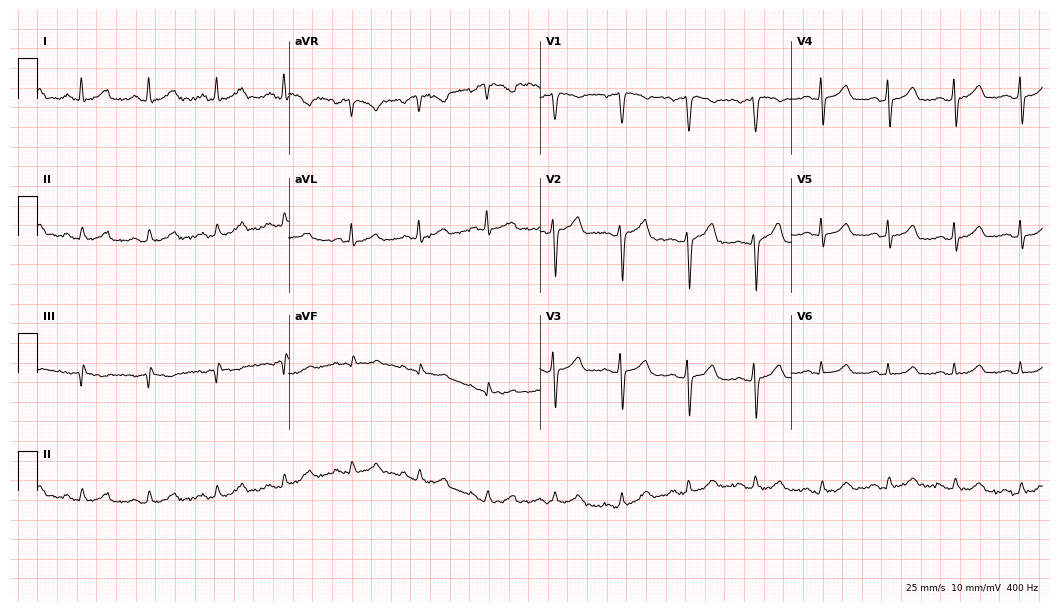
12-lead ECG (10.2-second recording at 400 Hz) from a 58-year-old female patient. Labelled as a normal ECG.